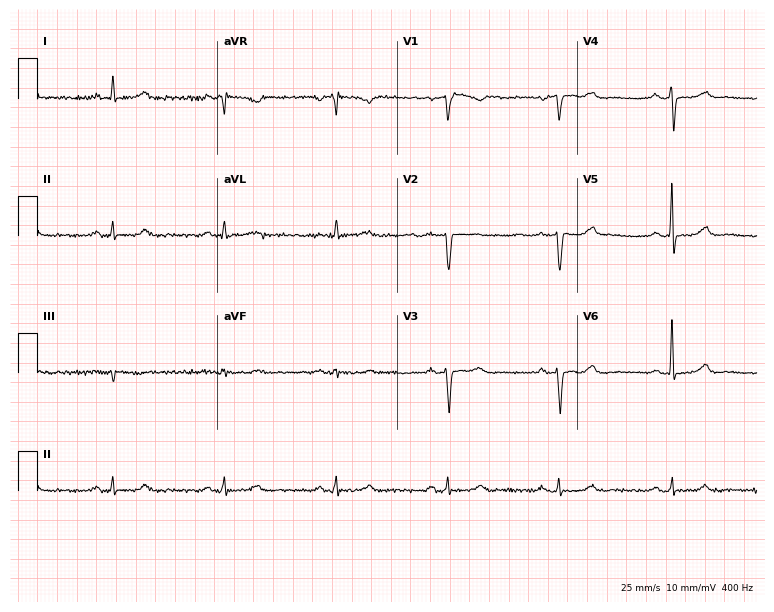
12-lead ECG (7.3-second recording at 400 Hz) from a female patient, 55 years old. Screened for six findings — first-degree AV block, right bundle branch block, left bundle branch block, sinus bradycardia, atrial fibrillation, sinus tachycardia — none is recorded.